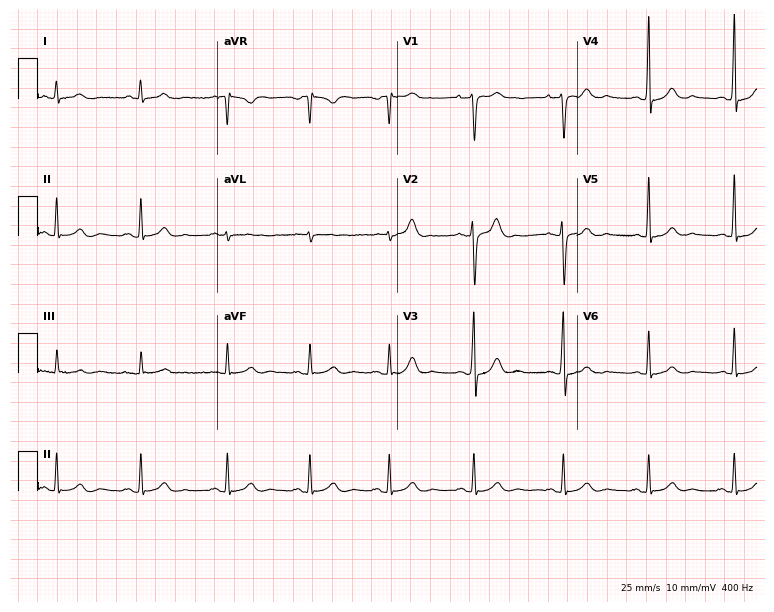
ECG (7.3-second recording at 400 Hz) — a male, 37 years old. Labelled as a normal ECG.